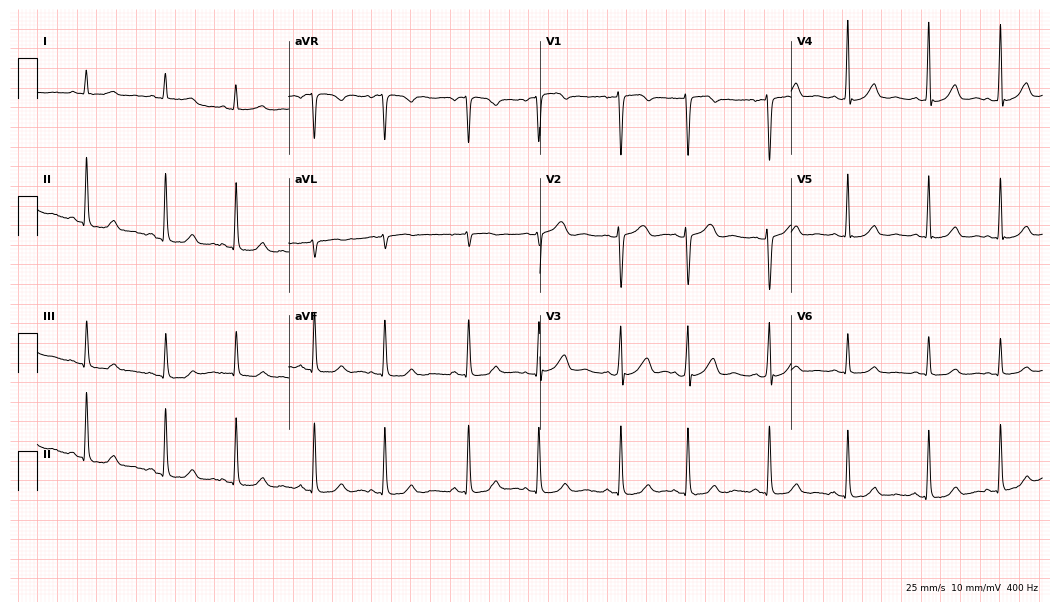
ECG (10.2-second recording at 400 Hz) — a female patient, 34 years old. Screened for six findings — first-degree AV block, right bundle branch block (RBBB), left bundle branch block (LBBB), sinus bradycardia, atrial fibrillation (AF), sinus tachycardia — none is recorded. Only these six findings were labelled.